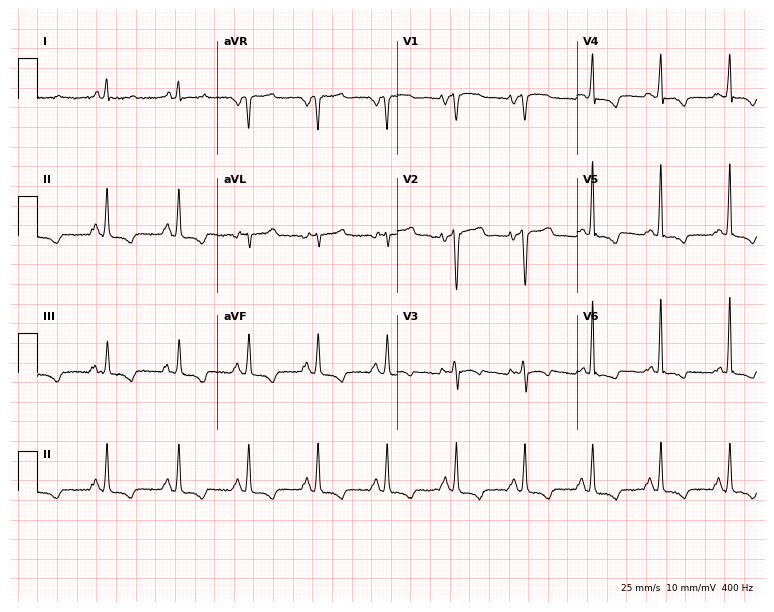
12-lead ECG from a 20-year-old male. Screened for six findings — first-degree AV block, right bundle branch block, left bundle branch block, sinus bradycardia, atrial fibrillation, sinus tachycardia — none is recorded. Other findings, if any, are not listed.